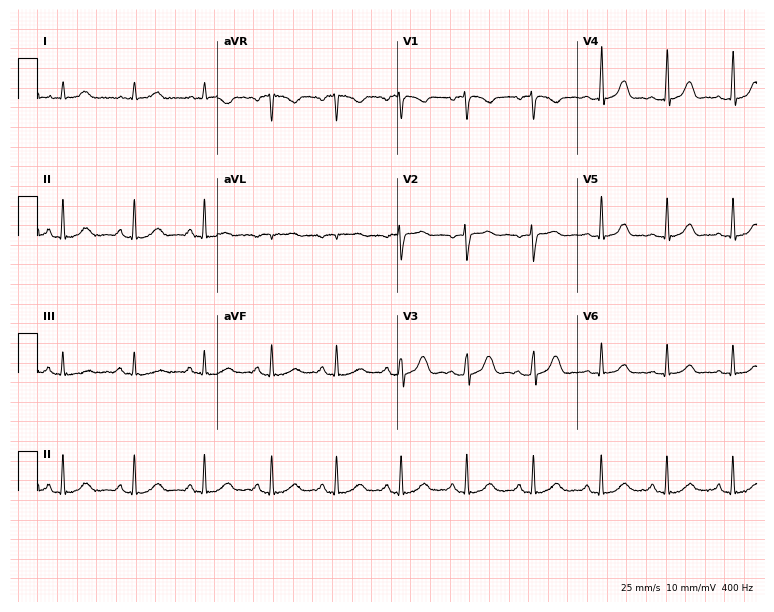
Resting 12-lead electrocardiogram (7.3-second recording at 400 Hz). Patient: a 31-year-old female. Read as a normal ECG.